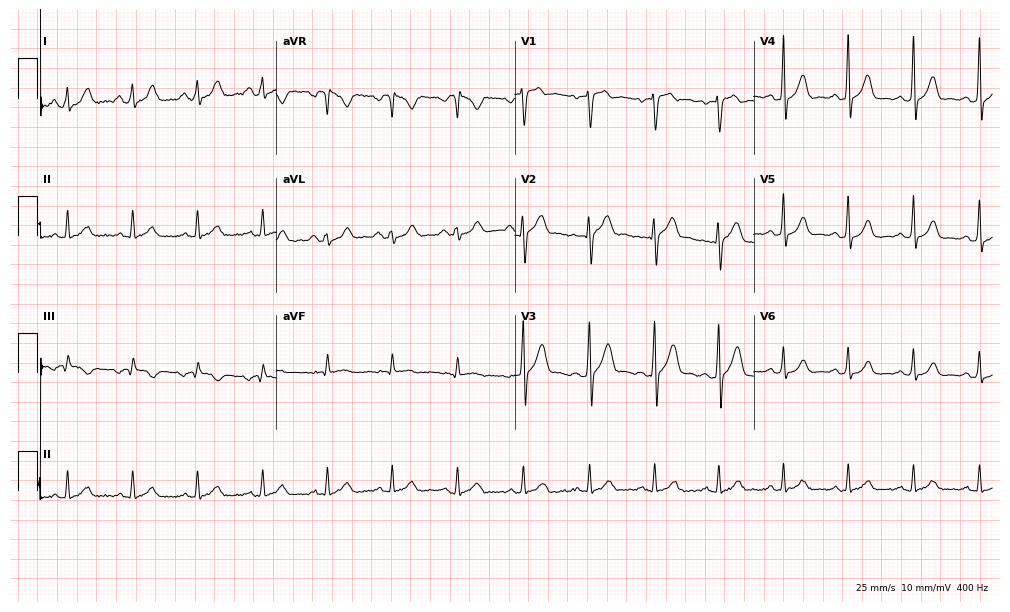
Standard 12-lead ECG recorded from a male patient, 47 years old (9.7-second recording at 400 Hz). Read as a normal ECG.